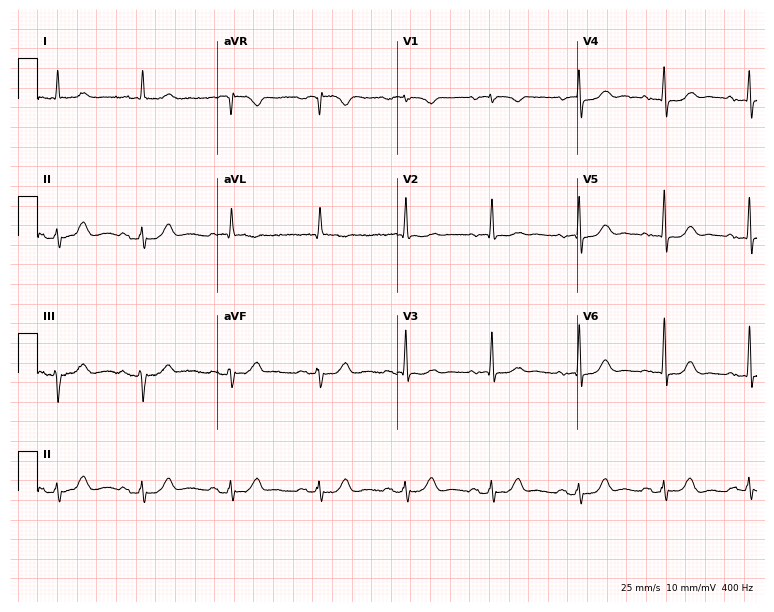
Electrocardiogram, a female patient, 79 years old. Overall reading on record: normal ECG.